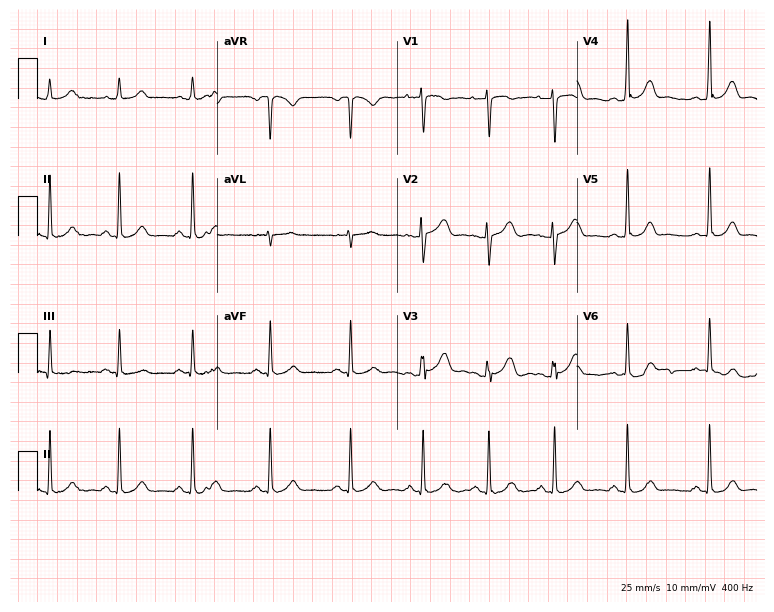
ECG (7.3-second recording at 400 Hz) — a female, 24 years old. Labelled as a normal ECG.